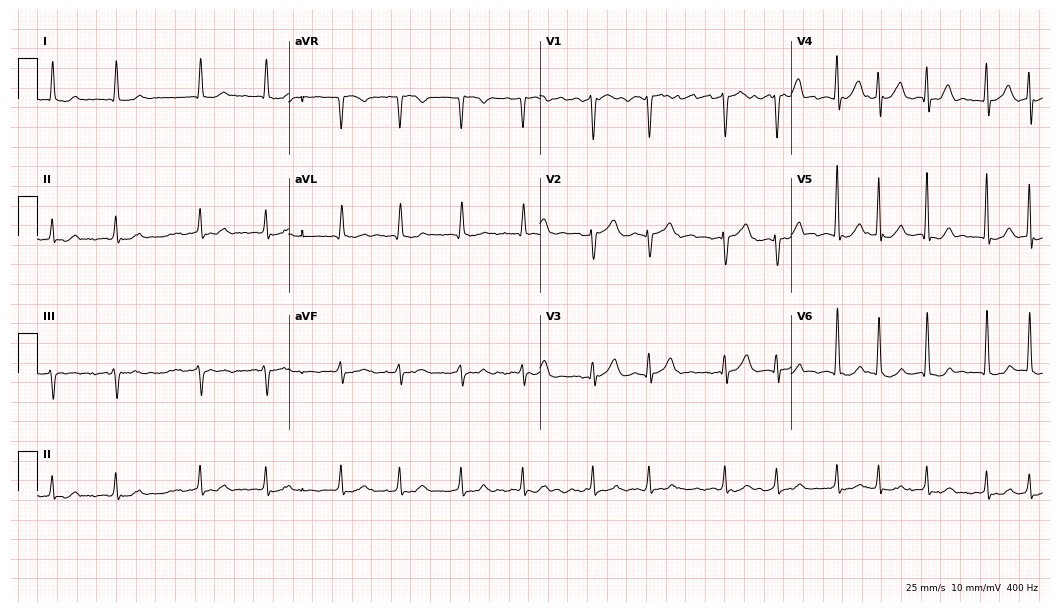
ECG (10.2-second recording at 400 Hz) — a male patient, 77 years old. Findings include atrial fibrillation.